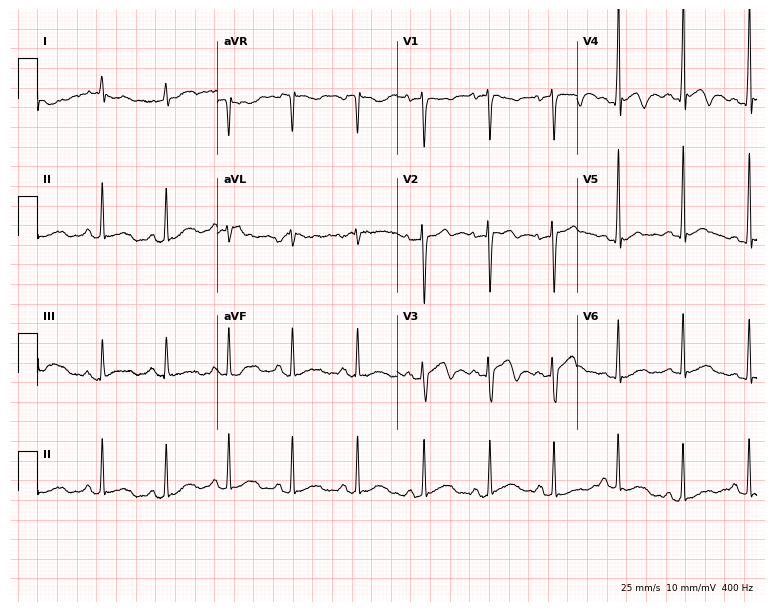
ECG — a 25-year-old man. Screened for six findings — first-degree AV block, right bundle branch block (RBBB), left bundle branch block (LBBB), sinus bradycardia, atrial fibrillation (AF), sinus tachycardia — none is recorded.